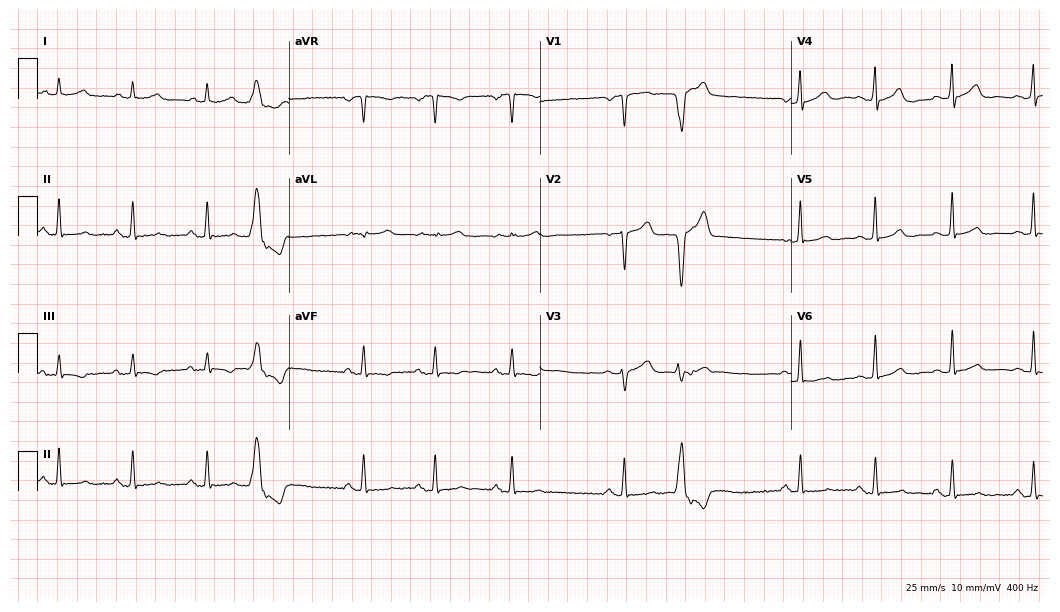
Standard 12-lead ECG recorded from a 69-year-old male patient (10.2-second recording at 400 Hz). Read as a normal ECG.